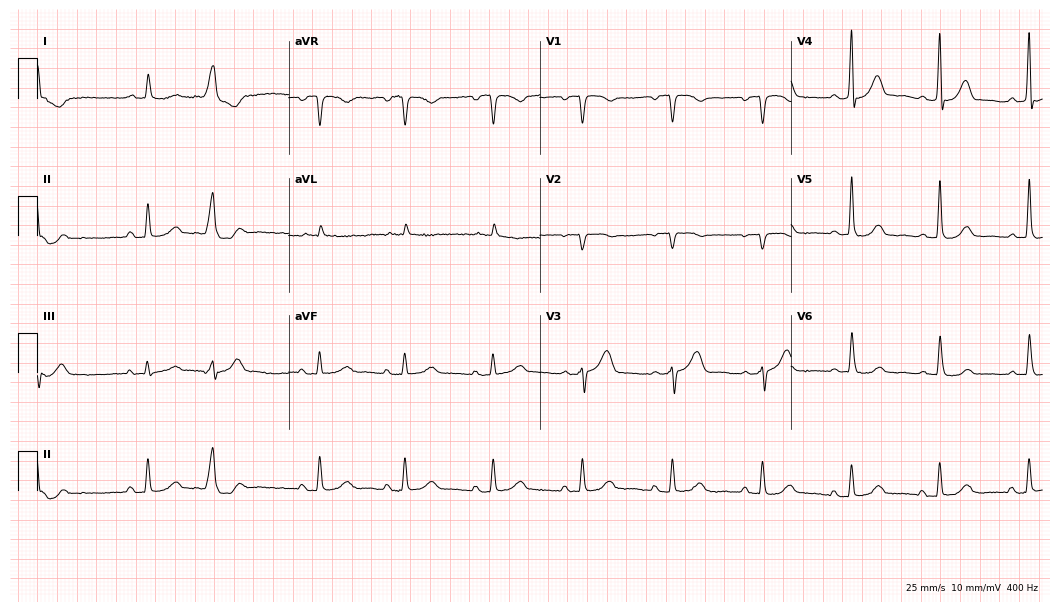
ECG (10.2-second recording at 400 Hz) — a 67-year-old male. Screened for six findings — first-degree AV block, right bundle branch block (RBBB), left bundle branch block (LBBB), sinus bradycardia, atrial fibrillation (AF), sinus tachycardia — none is recorded.